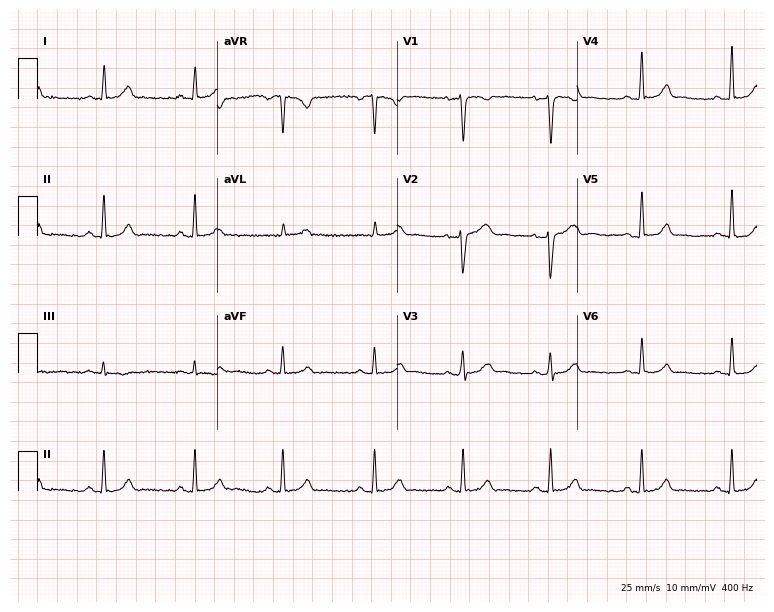
ECG — a 34-year-old woman. Labelled as a normal ECG.